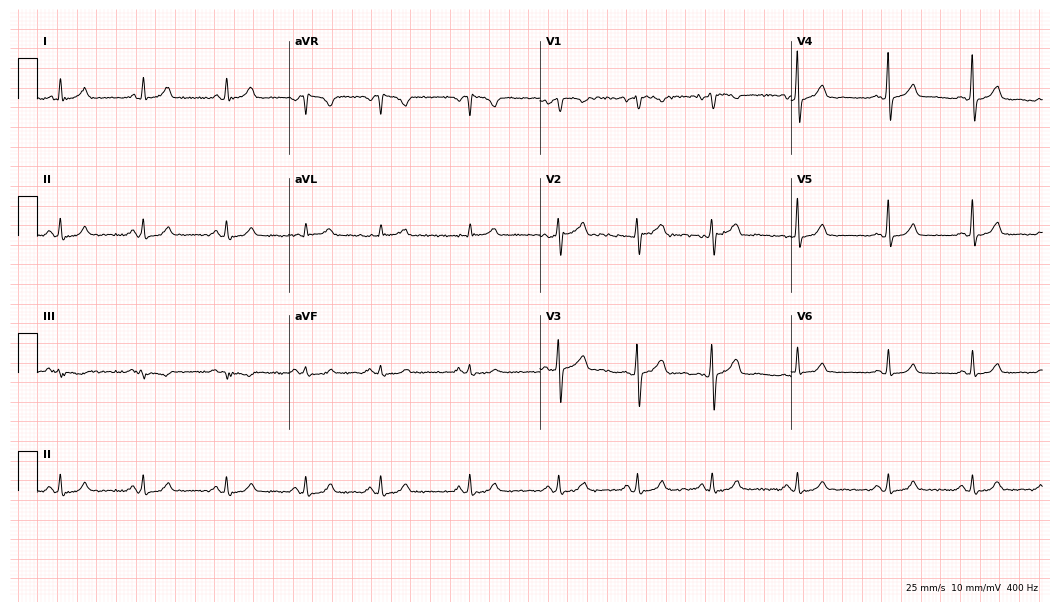
Resting 12-lead electrocardiogram (10.2-second recording at 400 Hz). Patient: a female, 44 years old. Read as a normal ECG.